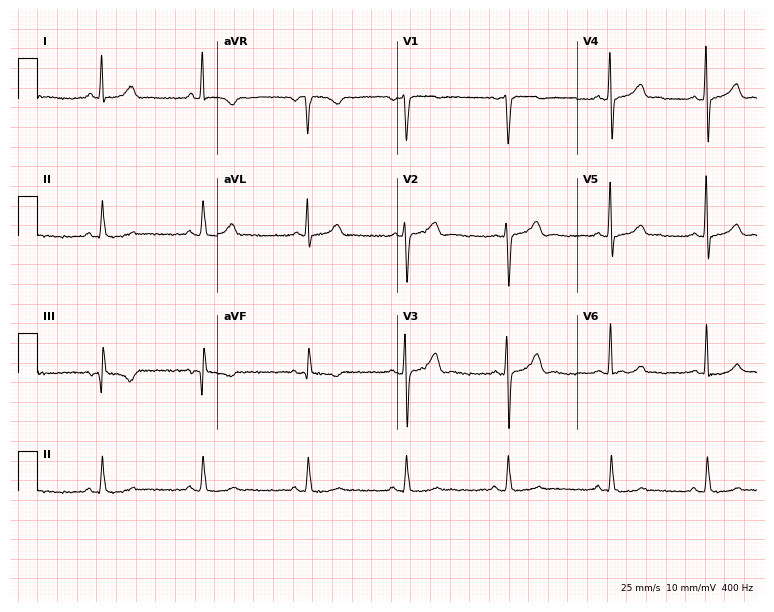
12-lead ECG from a 45-year-old female. Screened for six findings — first-degree AV block, right bundle branch block, left bundle branch block, sinus bradycardia, atrial fibrillation, sinus tachycardia — none is recorded. Findings outside these six are not listed.